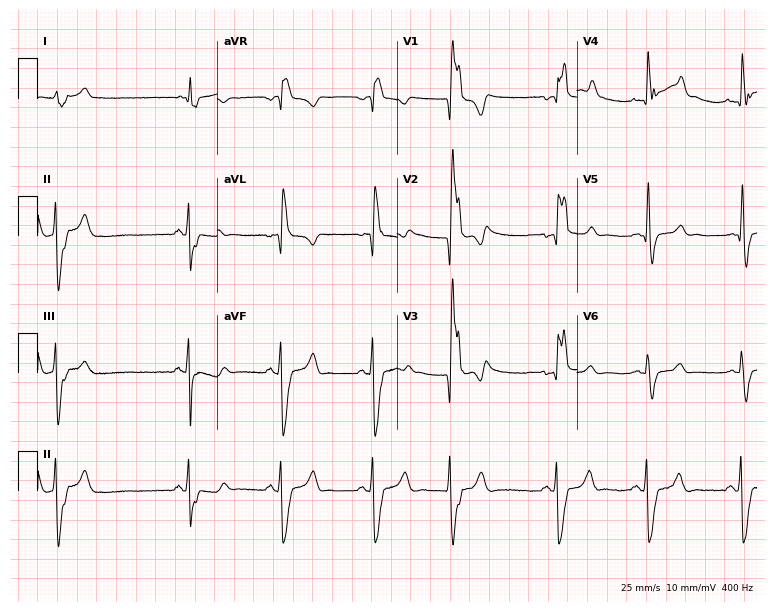
ECG — a man, 24 years old. Findings include right bundle branch block (RBBB).